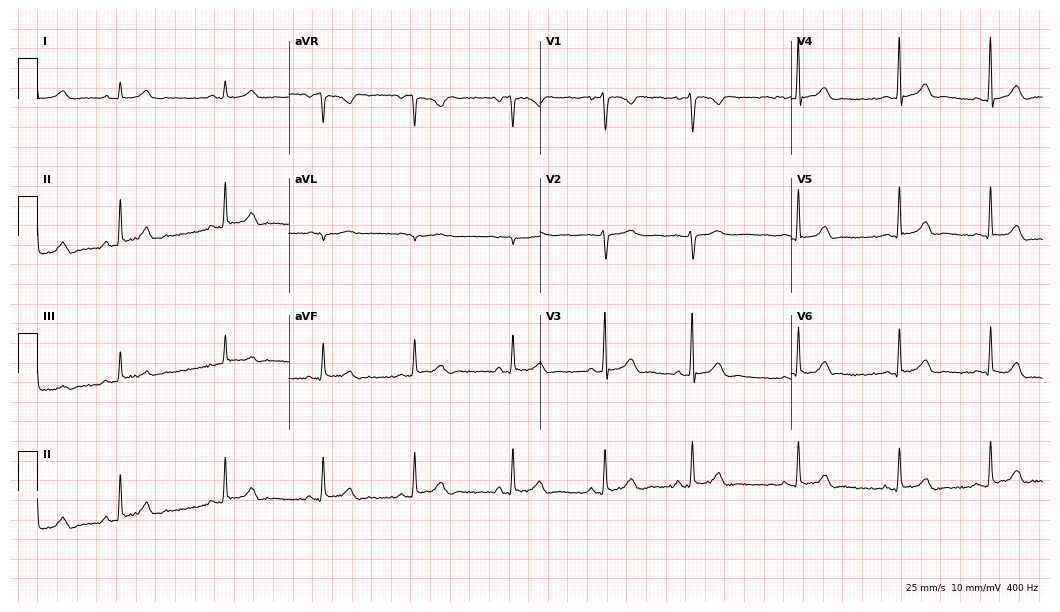
Resting 12-lead electrocardiogram (10.2-second recording at 400 Hz). Patient: a female, 18 years old. Read as a normal ECG.